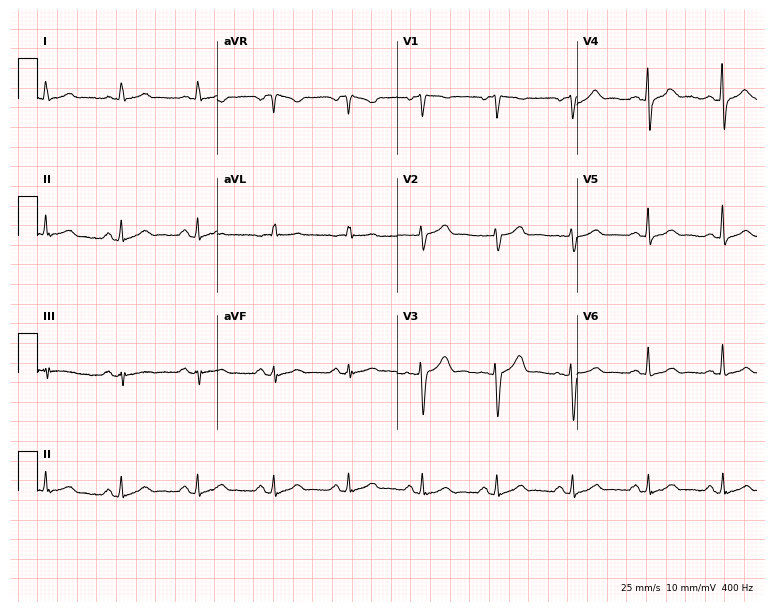
Standard 12-lead ECG recorded from a 66-year-old woman. Read as a normal ECG.